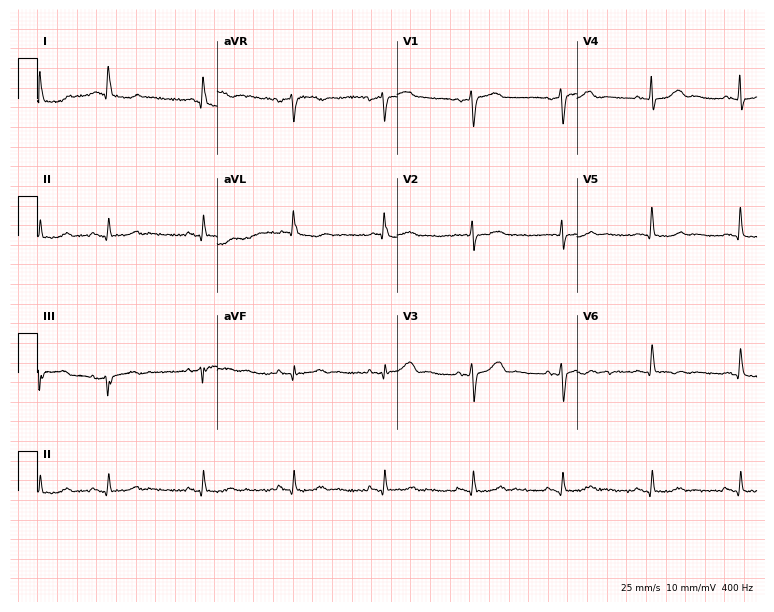
12-lead ECG (7.3-second recording at 400 Hz) from a 68-year-old woman. Screened for six findings — first-degree AV block, right bundle branch block, left bundle branch block, sinus bradycardia, atrial fibrillation, sinus tachycardia — none is recorded.